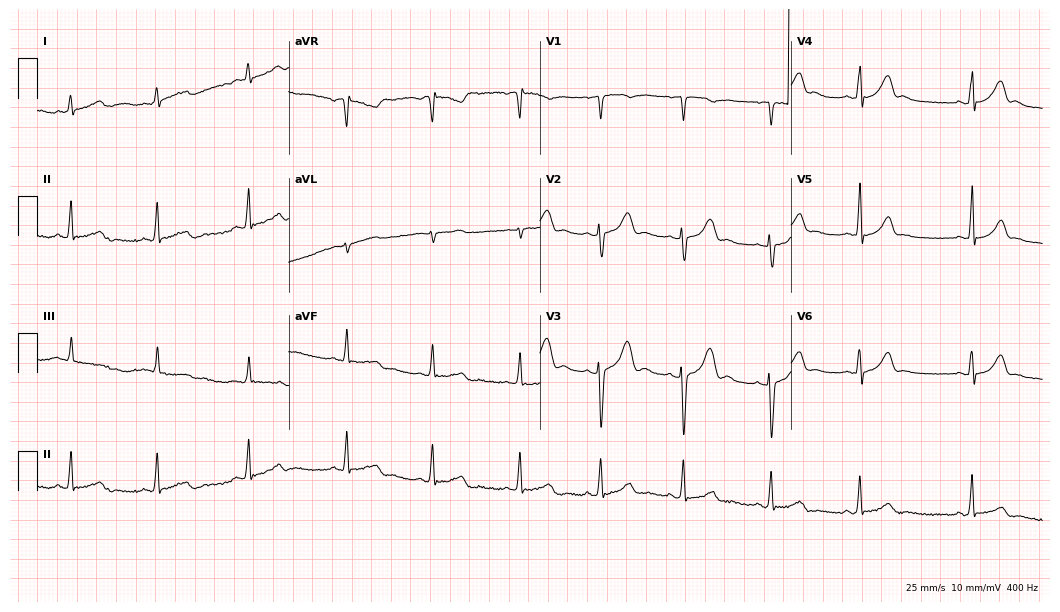
12-lead ECG from a female patient, 17 years old. Recorded interpretation: within normal limits.